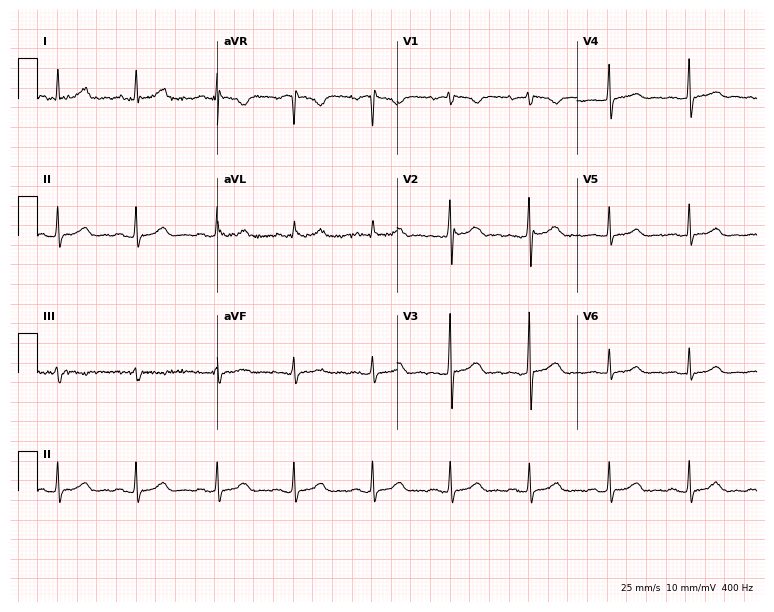
Standard 12-lead ECG recorded from a 65-year-old woman (7.3-second recording at 400 Hz). Read as a normal ECG.